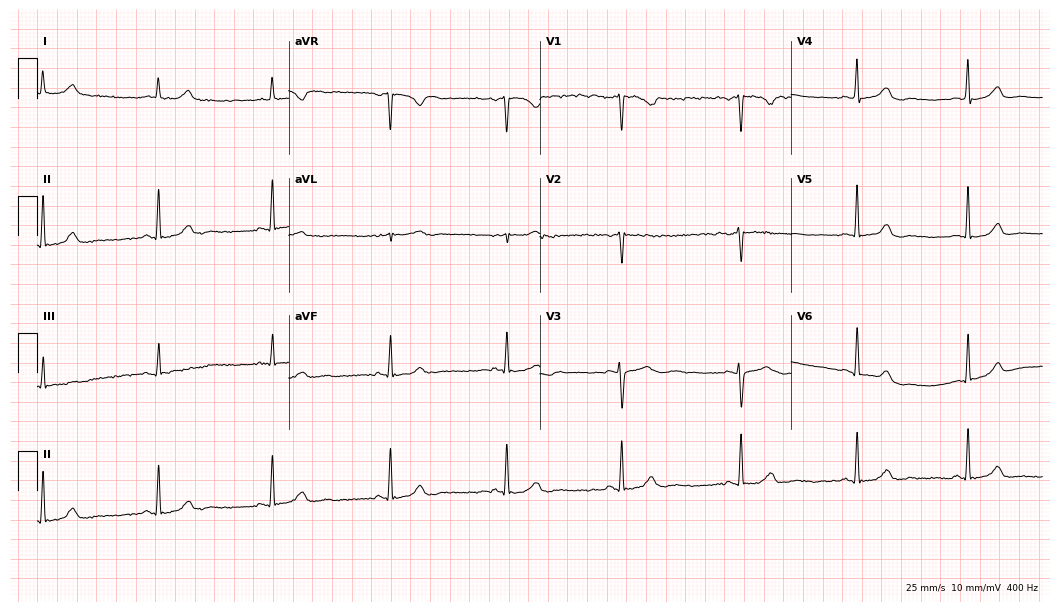
12-lead ECG from a female, 43 years old. Labelled as a normal ECG.